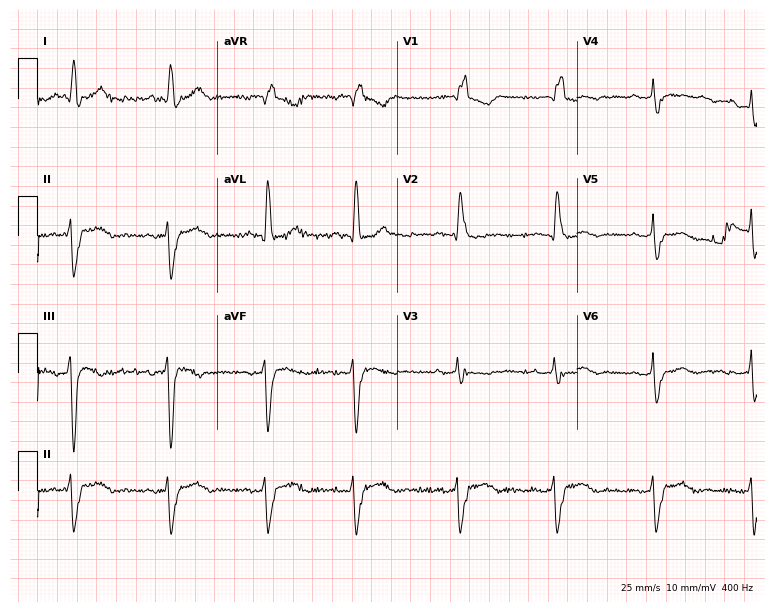
ECG (7.3-second recording at 400 Hz) — a female patient, 71 years old. Findings include right bundle branch block.